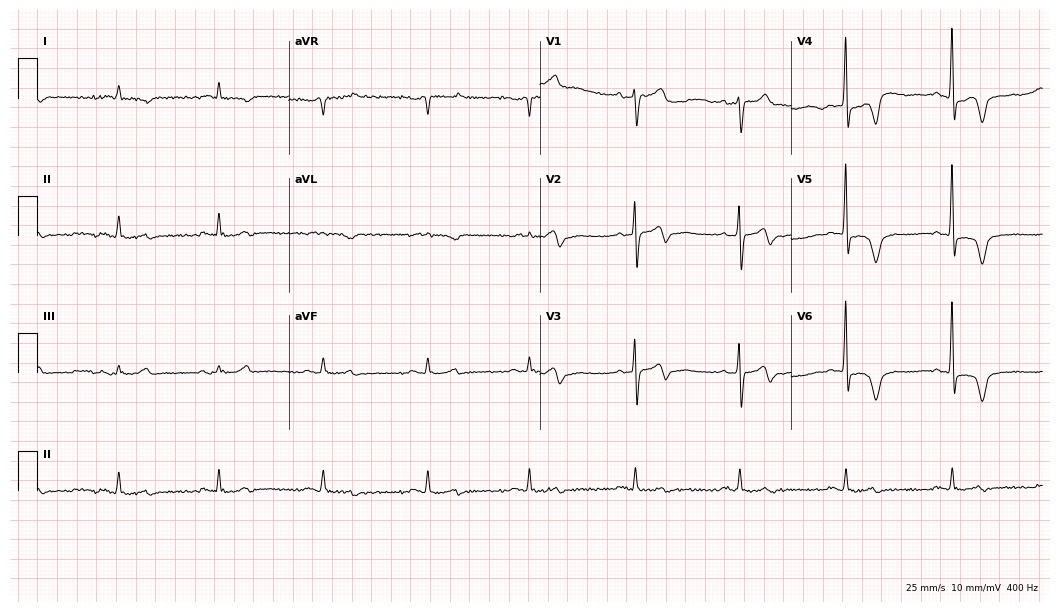
ECG (10.2-second recording at 400 Hz) — a male, 76 years old. Screened for six findings — first-degree AV block, right bundle branch block (RBBB), left bundle branch block (LBBB), sinus bradycardia, atrial fibrillation (AF), sinus tachycardia — none is recorded. Other findings, if any, are not listed.